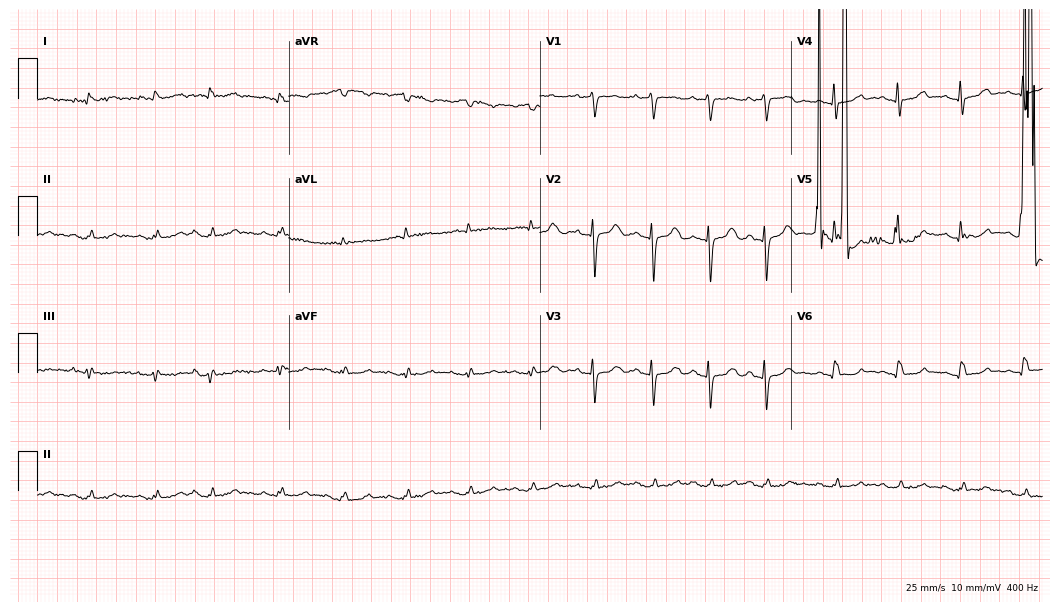
12-lead ECG (10.2-second recording at 400 Hz) from a female patient, 84 years old. Screened for six findings — first-degree AV block, right bundle branch block (RBBB), left bundle branch block (LBBB), sinus bradycardia, atrial fibrillation (AF), sinus tachycardia — none is recorded. Only these six findings were labelled.